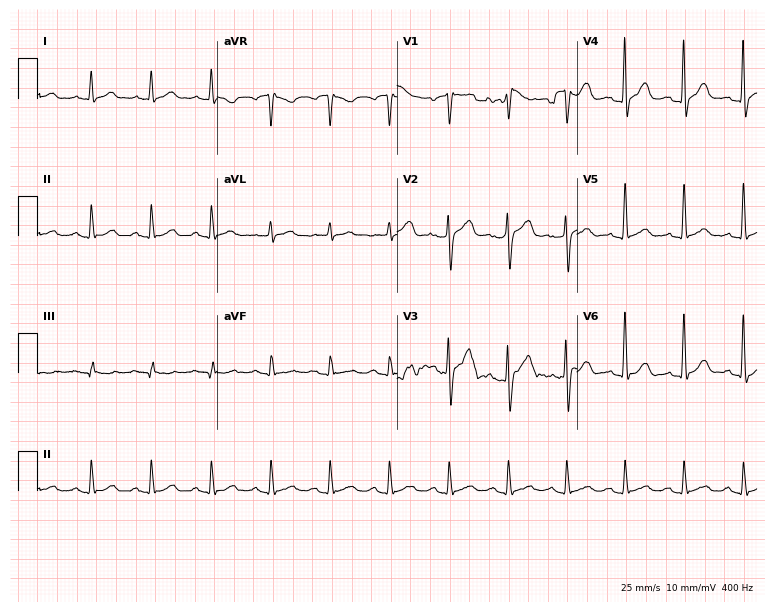
Resting 12-lead electrocardiogram. Patient: a 68-year-old man. Read as a normal ECG.